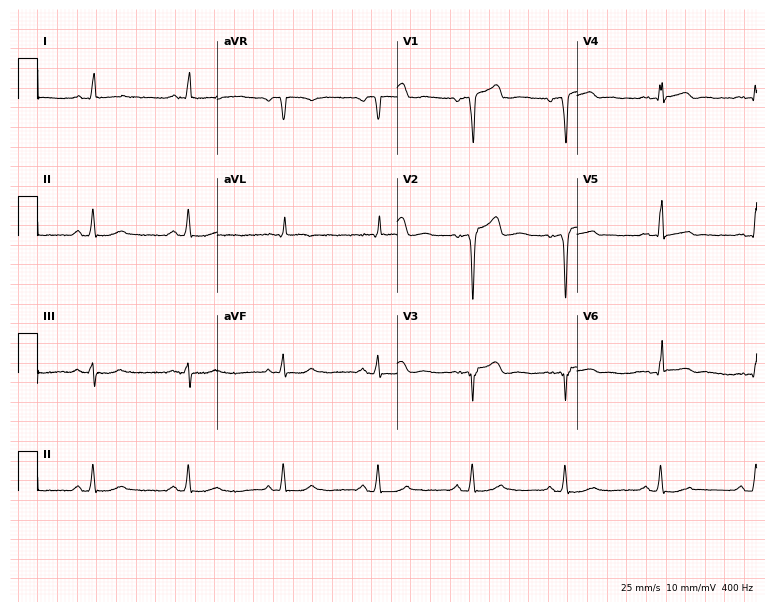
12-lead ECG from a man, 62 years old. Screened for six findings — first-degree AV block, right bundle branch block (RBBB), left bundle branch block (LBBB), sinus bradycardia, atrial fibrillation (AF), sinus tachycardia — none is recorded.